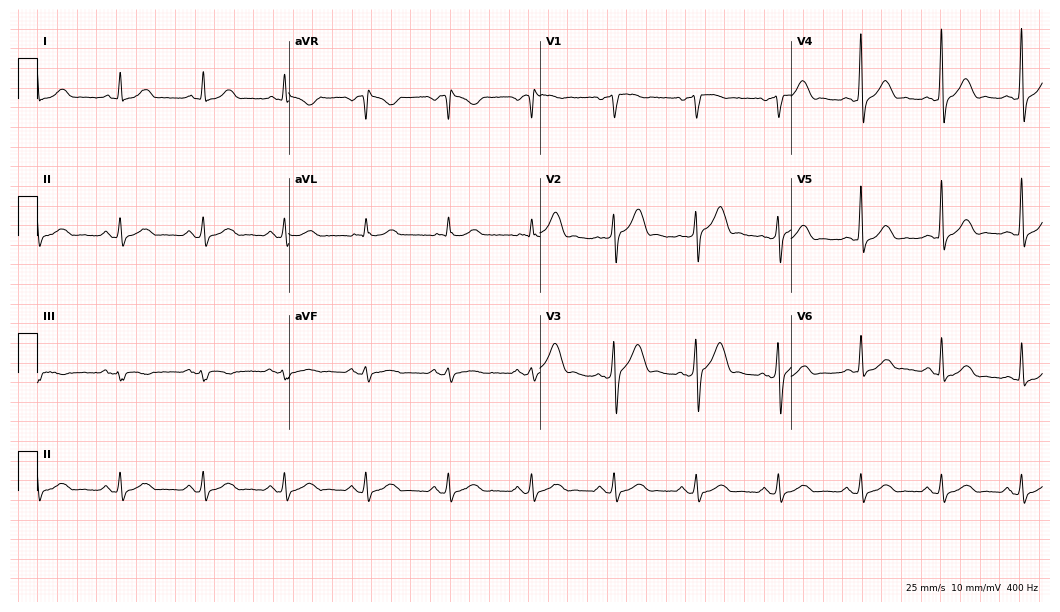
Electrocardiogram (10.2-second recording at 400 Hz), a male, 58 years old. Overall reading on record: normal ECG.